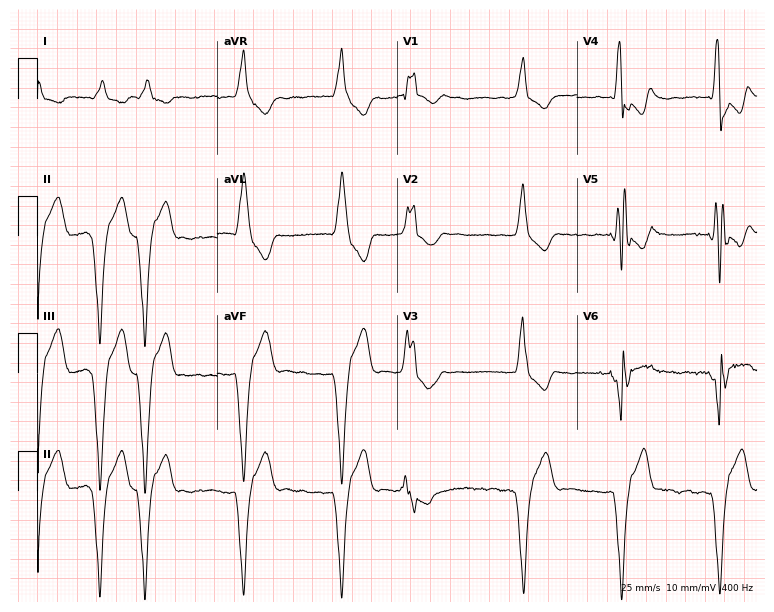
12-lead ECG from an 83-year-old male. No first-degree AV block, right bundle branch block, left bundle branch block, sinus bradycardia, atrial fibrillation or sinus tachycardia recorded for this tracing.